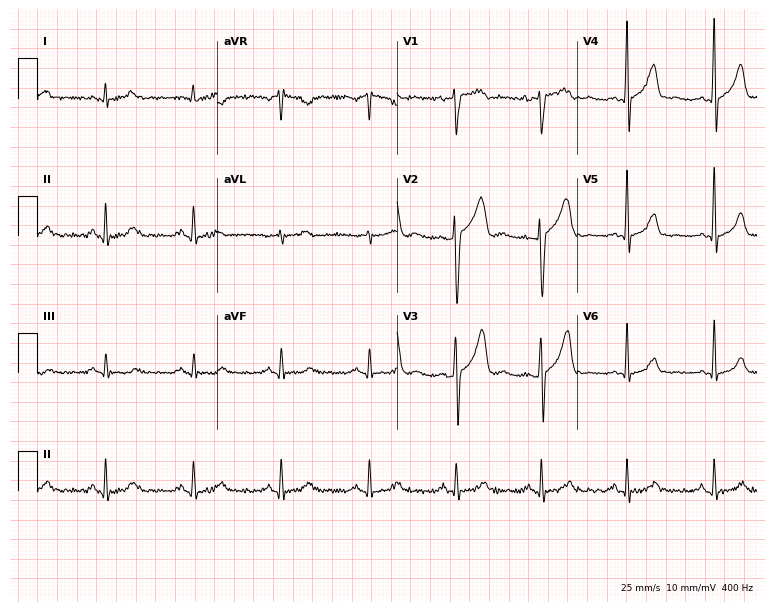
ECG (7.3-second recording at 400 Hz) — a male patient, 40 years old. Screened for six findings — first-degree AV block, right bundle branch block (RBBB), left bundle branch block (LBBB), sinus bradycardia, atrial fibrillation (AF), sinus tachycardia — none is recorded.